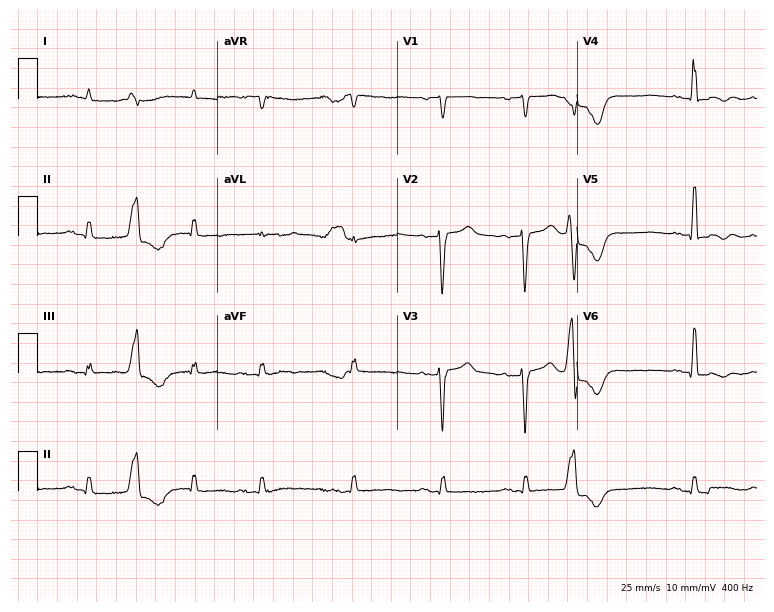
Standard 12-lead ECG recorded from an 81-year-old male (7.3-second recording at 400 Hz). None of these six findings is recorded: first-degree AV block, right bundle branch block, left bundle branch block, sinus bradycardia, atrial fibrillation, sinus tachycardia. Only these six findings were labelled.